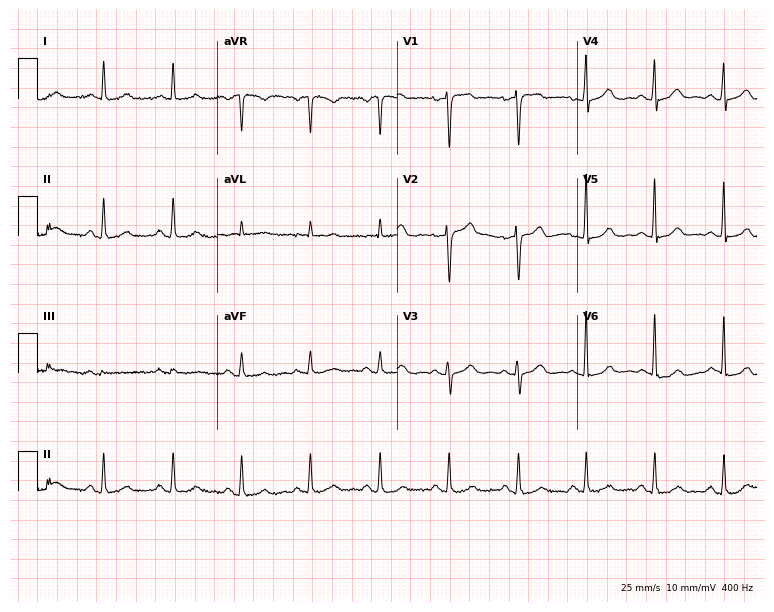
ECG — a female, 42 years old. Labelled as a normal ECG.